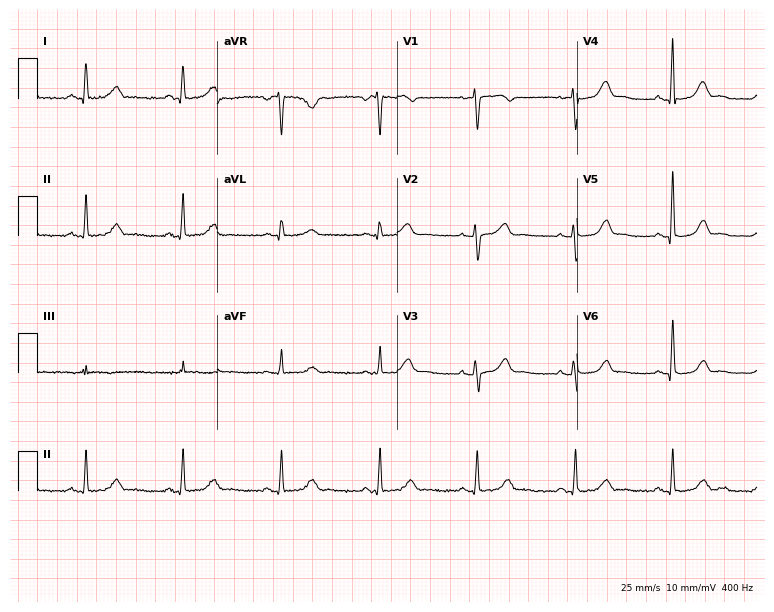
ECG (7.3-second recording at 400 Hz) — a female, 55 years old. Labelled as a normal ECG.